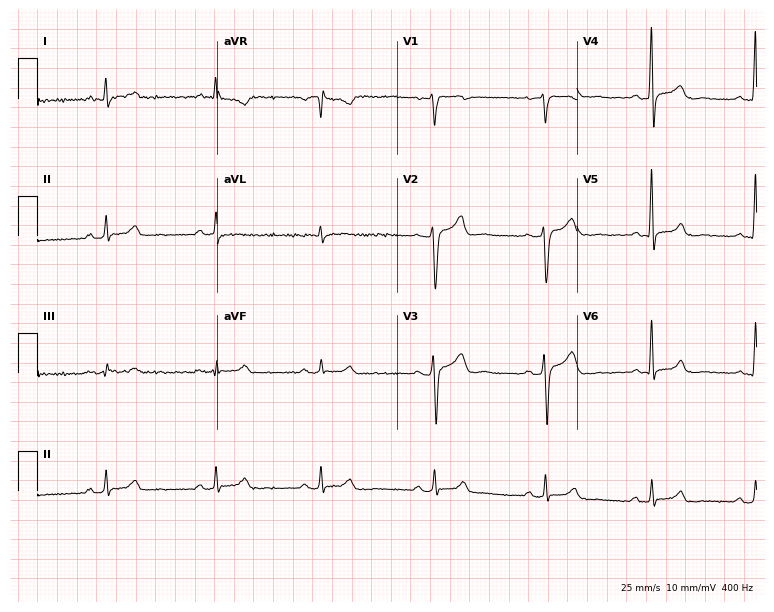
ECG — a 42-year-old male patient. Screened for six findings — first-degree AV block, right bundle branch block, left bundle branch block, sinus bradycardia, atrial fibrillation, sinus tachycardia — none is recorded.